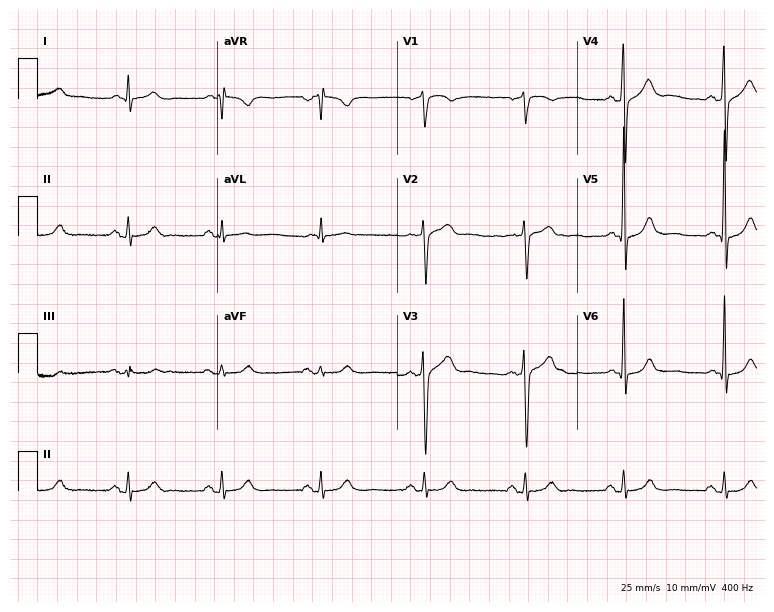
Electrocardiogram, a 63-year-old male. Overall reading on record: normal ECG.